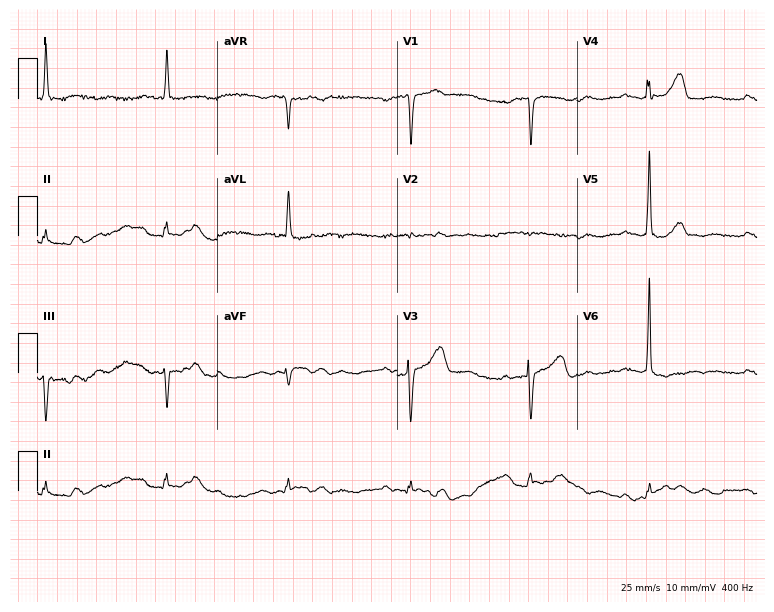
Standard 12-lead ECG recorded from a male patient, 85 years old. None of these six findings is recorded: first-degree AV block, right bundle branch block, left bundle branch block, sinus bradycardia, atrial fibrillation, sinus tachycardia. Other findings, if any, are not listed.